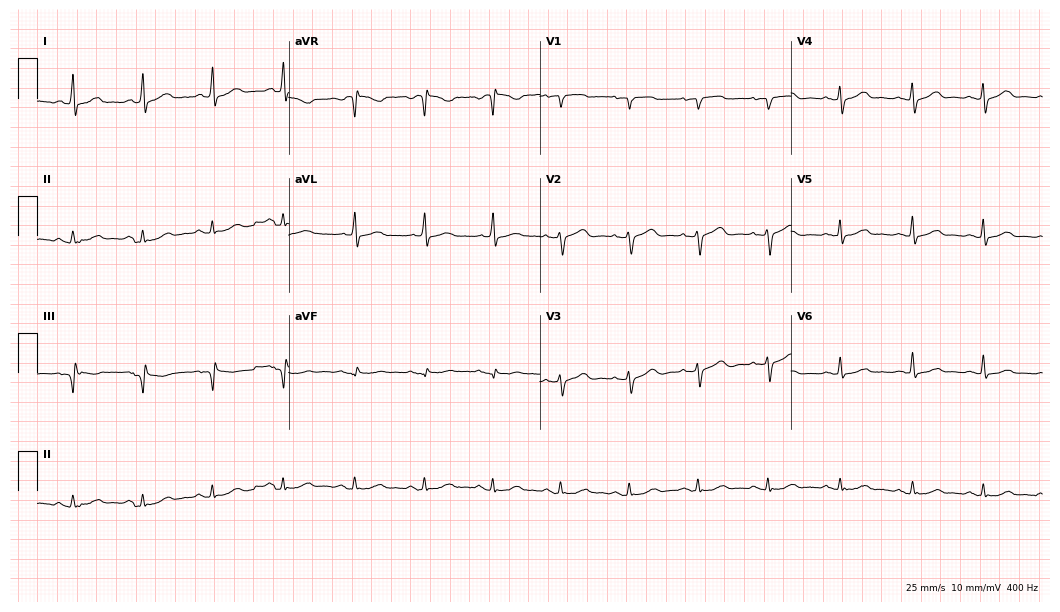
12-lead ECG from a woman, 70 years old. Labelled as a normal ECG.